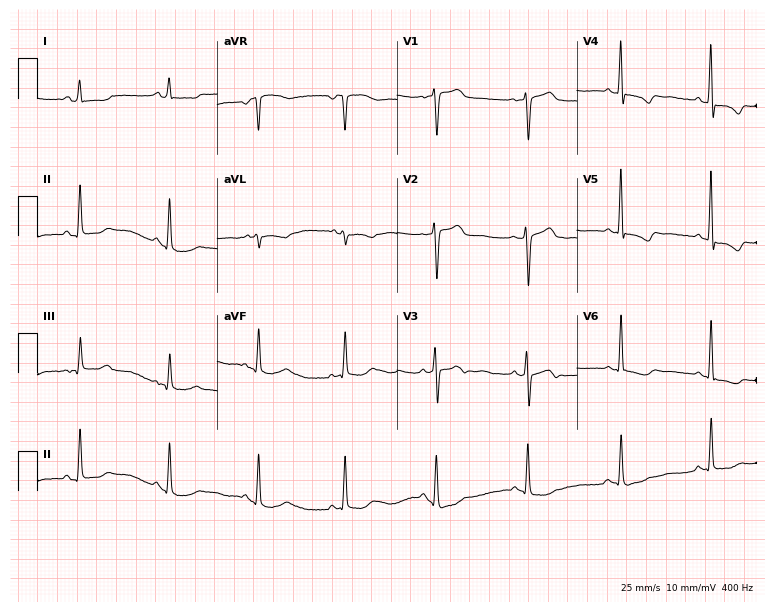
12-lead ECG from a 58-year-old female (7.3-second recording at 400 Hz). No first-degree AV block, right bundle branch block, left bundle branch block, sinus bradycardia, atrial fibrillation or sinus tachycardia recorded for this tracing.